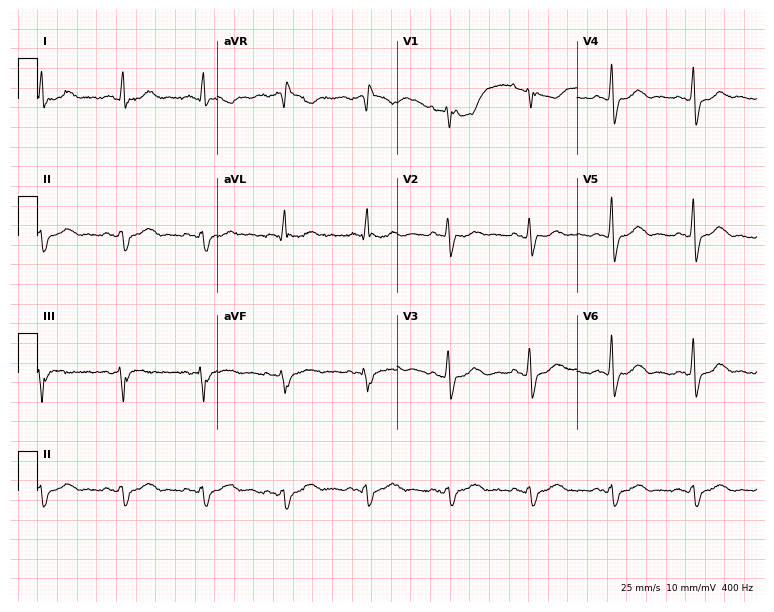
Resting 12-lead electrocardiogram (7.3-second recording at 400 Hz). Patient: a 61-year-old male. None of these six findings is recorded: first-degree AV block, right bundle branch block, left bundle branch block, sinus bradycardia, atrial fibrillation, sinus tachycardia.